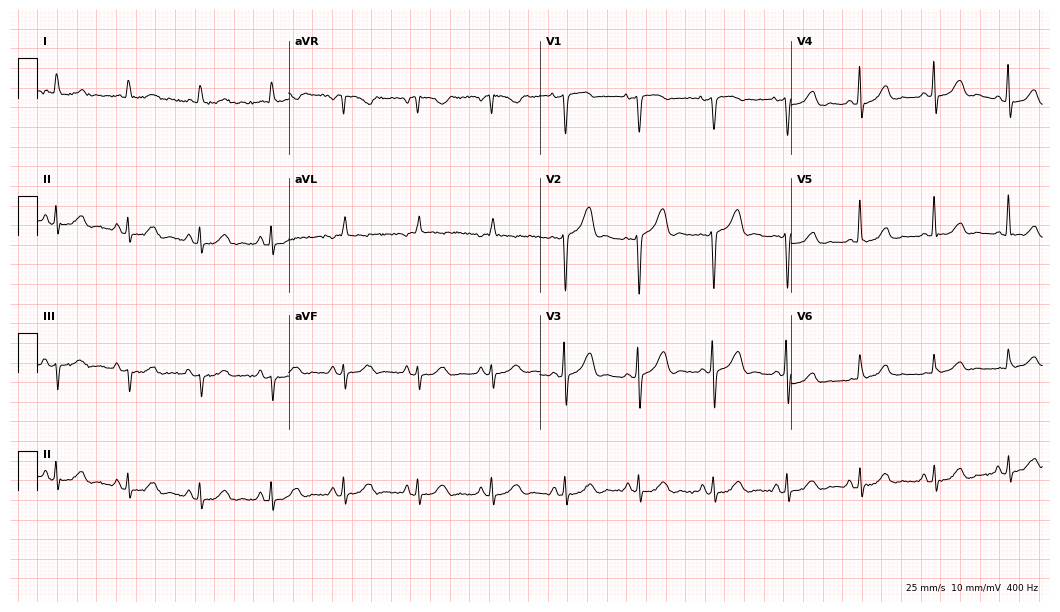
Standard 12-lead ECG recorded from a female, 75 years old (10.2-second recording at 400 Hz). Read as a normal ECG.